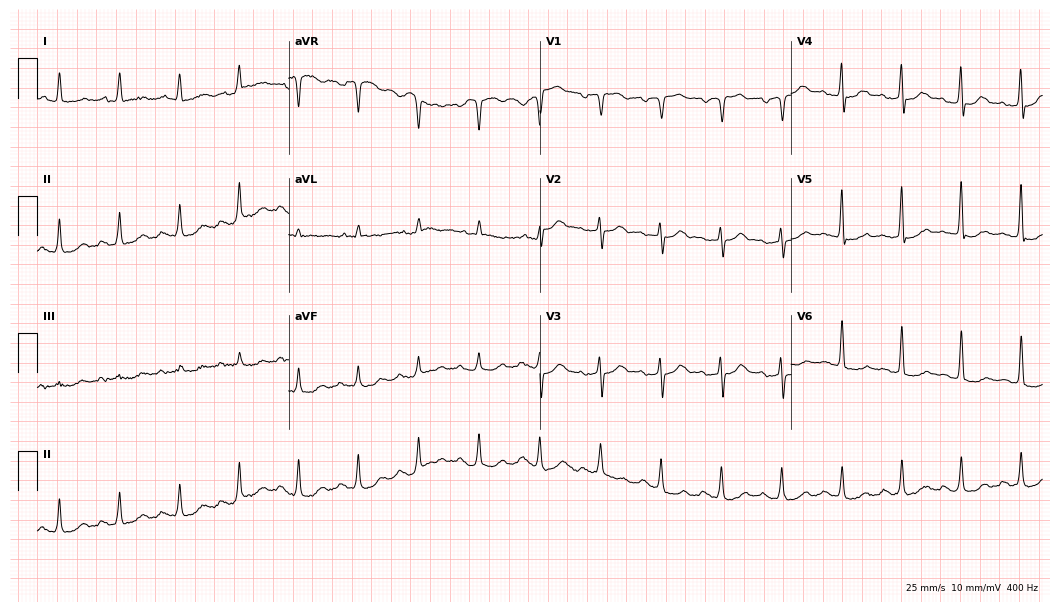
12-lead ECG (10.2-second recording at 400 Hz) from a female patient, 72 years old. Labelled as a normal ECG.